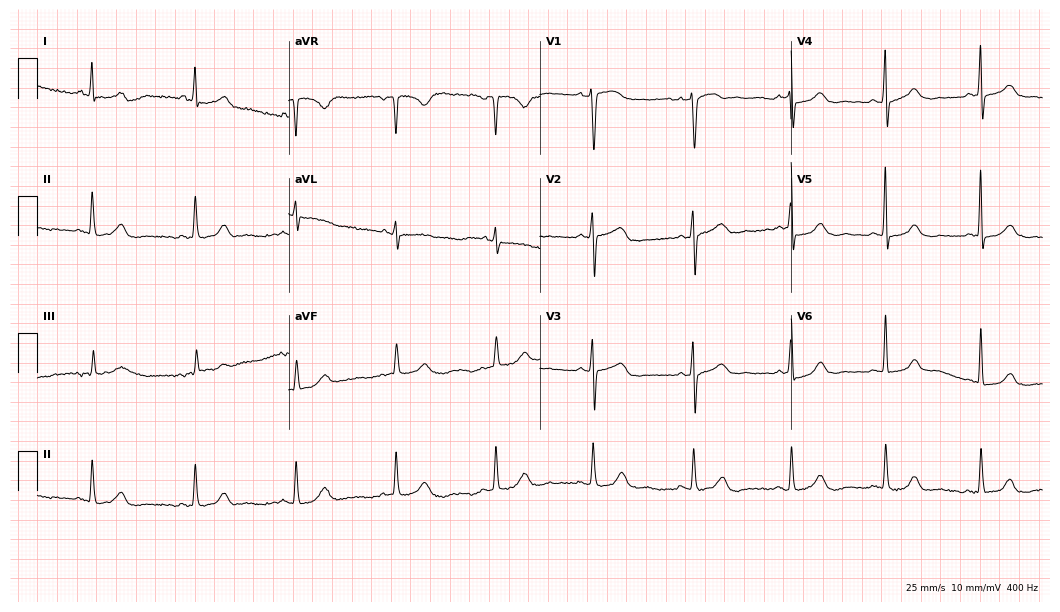
Electrocardiogram, a female patient, 68 years old. Overall reading on record: normal ECG.